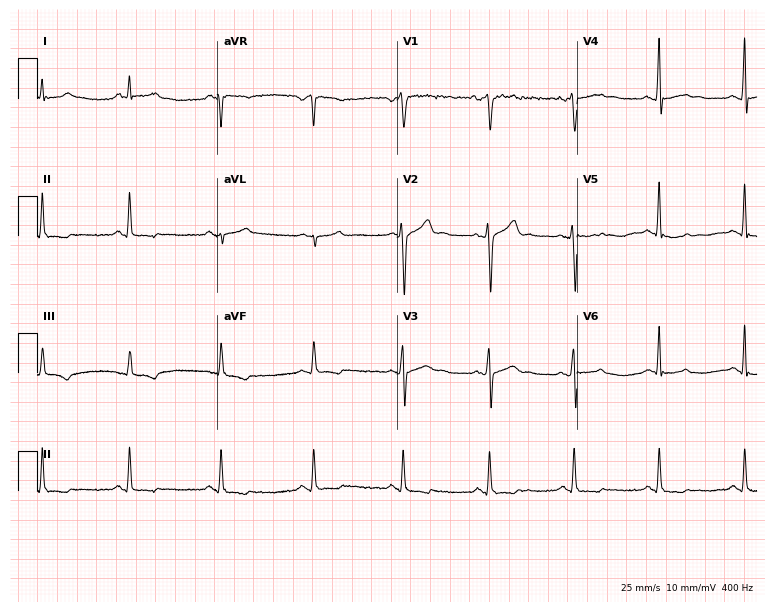
12-lead ECG (7.3-second recording at 400 Hz) from a 43-year-old man. Screened for six findings — first-degree AV block, right bundle branch block, left bundle branch block, sinus bradycardia, atrial fibrillation, sinus tachycardia — none is recorded. Findings outside these six are not listed.